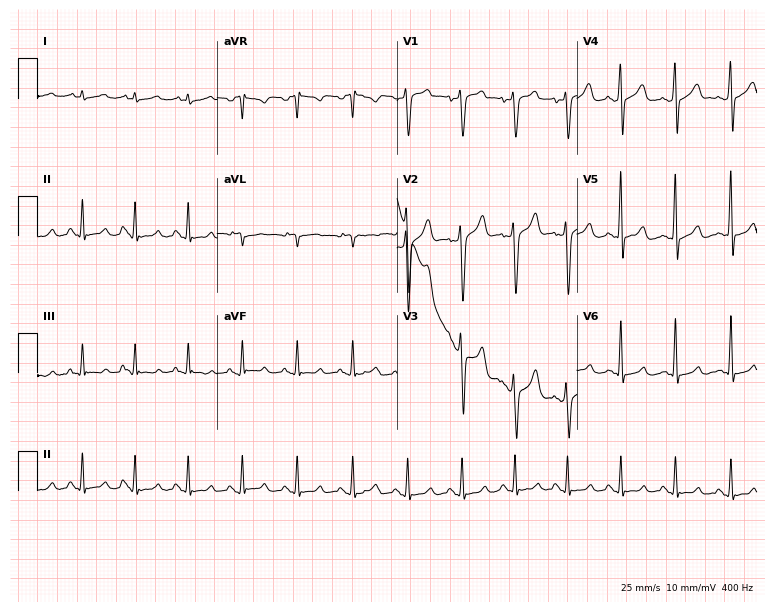
Standard 12-lead ECG recorded from a 38-year-old male patient. None of these six findings is recorded: first-degree AV block, right bundle branch block, left bundle branch block, sinus bradycardia, atrial fibrillation, sinus tachycardia.